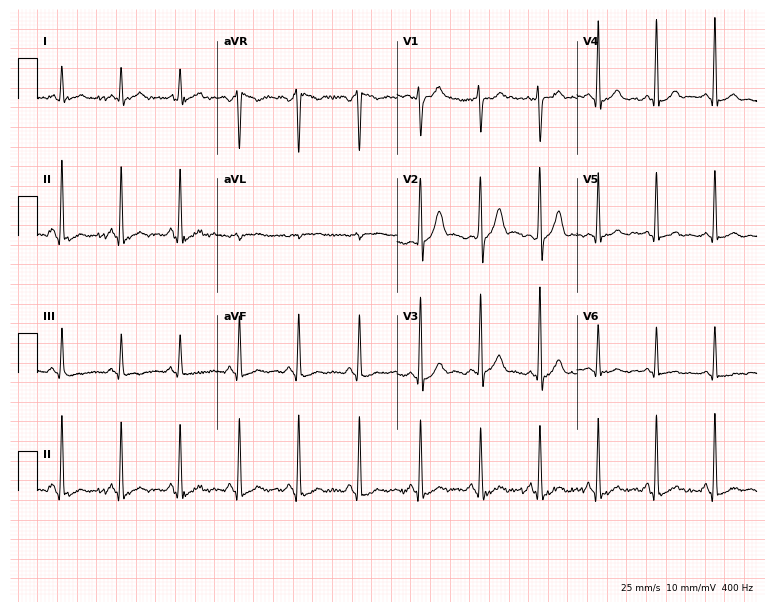
Standard 12-lead ECG recorded from a 25-year-old male patient (7.3-second recording at 400 Hz). None of these six findings is recorded: first-degree AV block, right bundle branch block, left bundle branch block, sinus bradycardia, atrial fibrillation, sinus tachycardia. Findings outside these six are not listed.